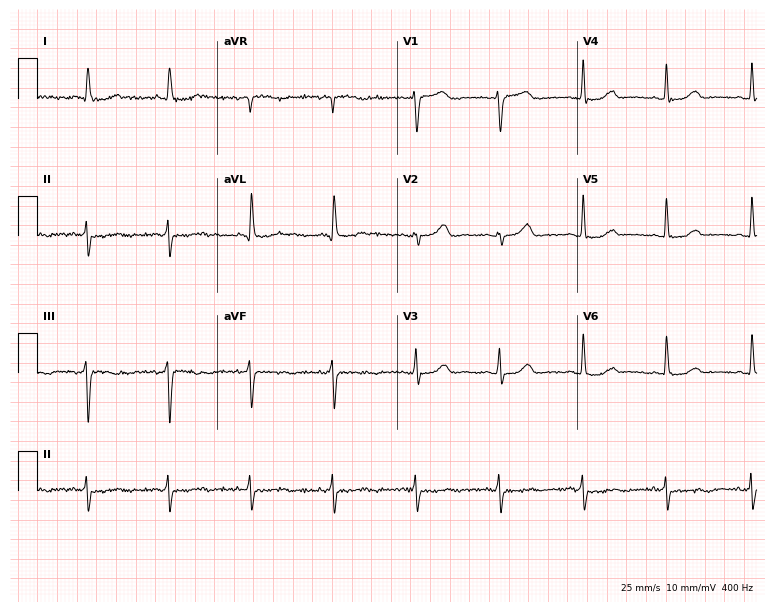
12-lead ECG from an 80-year-old woman. Screened for six findings — first-degree AV block, right bundle branch block, left bundle branch block, sinus bradycardia, atrial fibrillation, sinus tachycardia — none is recorded.